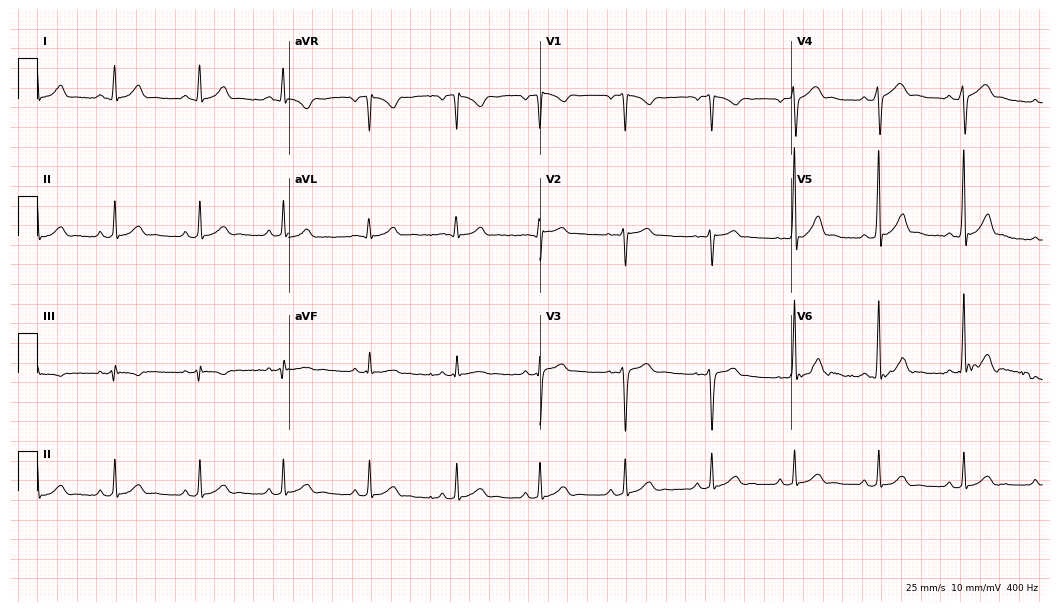
12-lead ECG from a 25-year-old man. No first-degree AV block, right bundle branch block, left bundle branch block, sinus bradycardia, atrial fibrillation or sinus tachycardia recorded for this tracing.